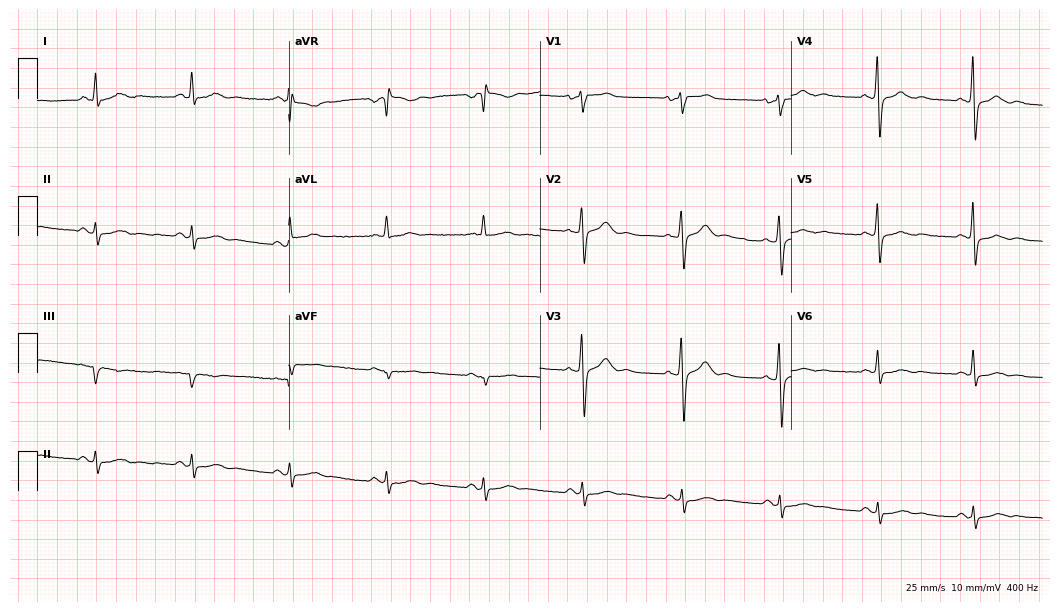
12-lead ECG (10.2-second recording at 400 Hz) from a male, 53 years old. Labelled as a normal ECG.